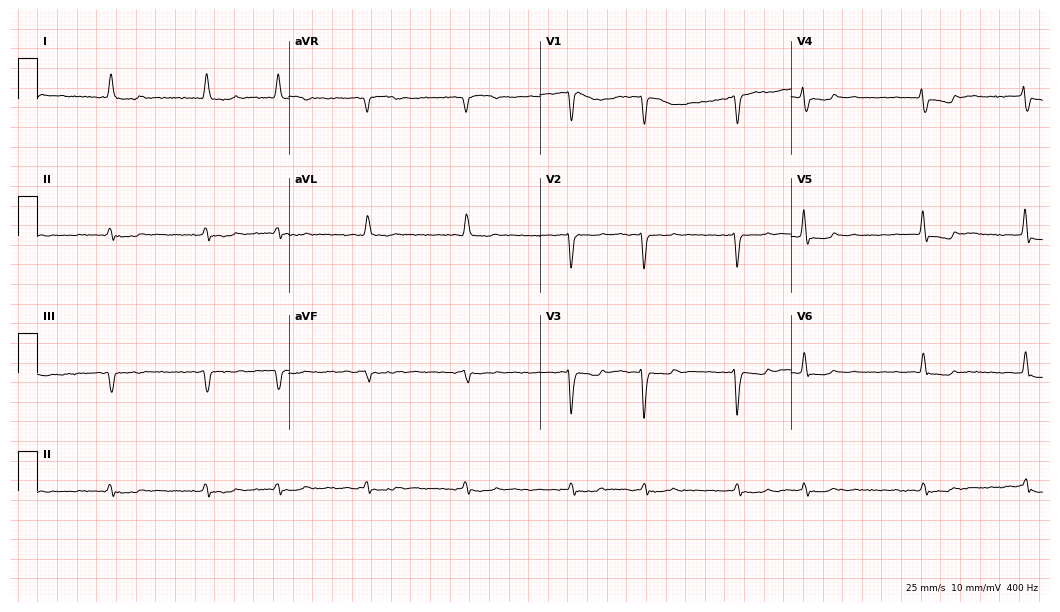
12-lead ECG (10.2-second recording at 400 Hz) from an 85-year-old male. Findings include atrial fibrillation.